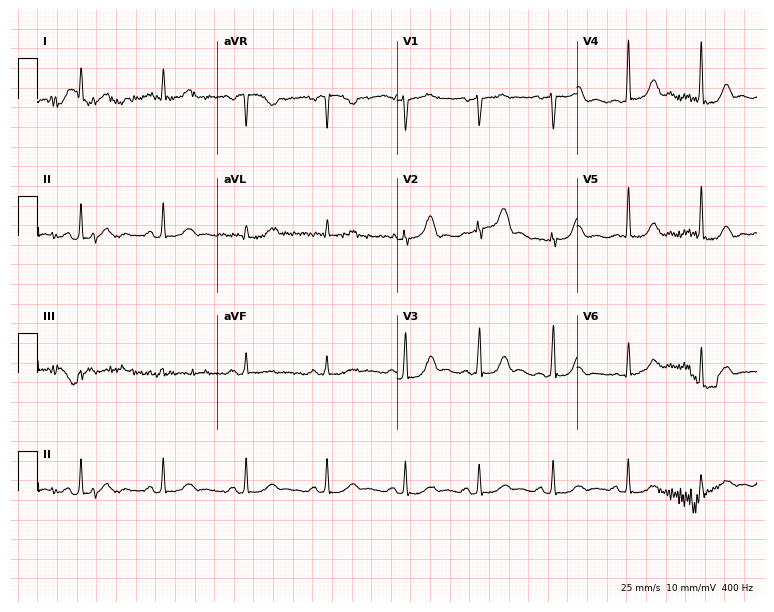
ECG — a female patient, 49 years old. Screened for six findings — first-degree AV block, right bundle branch block, left bundle branch block, sinus bradycardia, atrial fibrillation, sinus tachycardia — none is recorded. Findings outside these six are not listed.